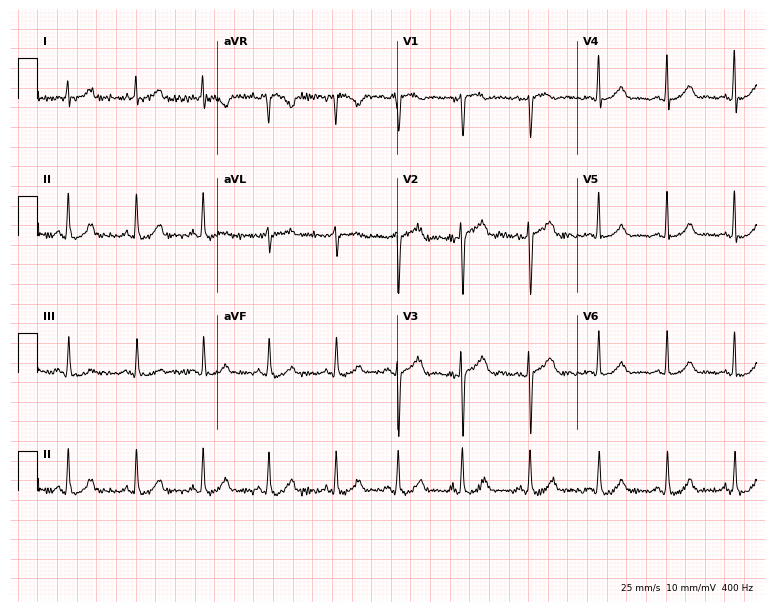
Electrocardiogram, a 37-year-old woman. Overall reading on record: normal ECG.